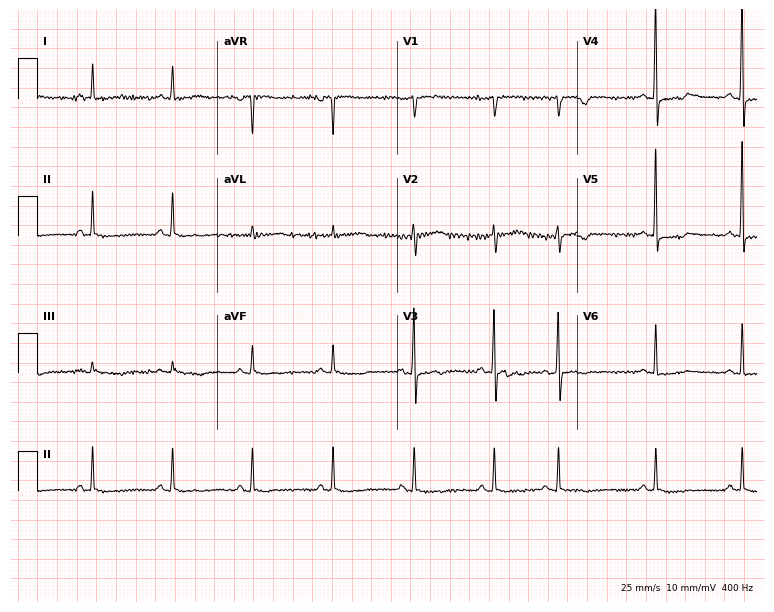
12-lead ECG from a female, 77 years old. Screened for six findings — first-degree AV block, right bundle branch block, left bundle branch block, sinus bradycardia, atrial fibrillation, sinus tachycardia — none is recorded.